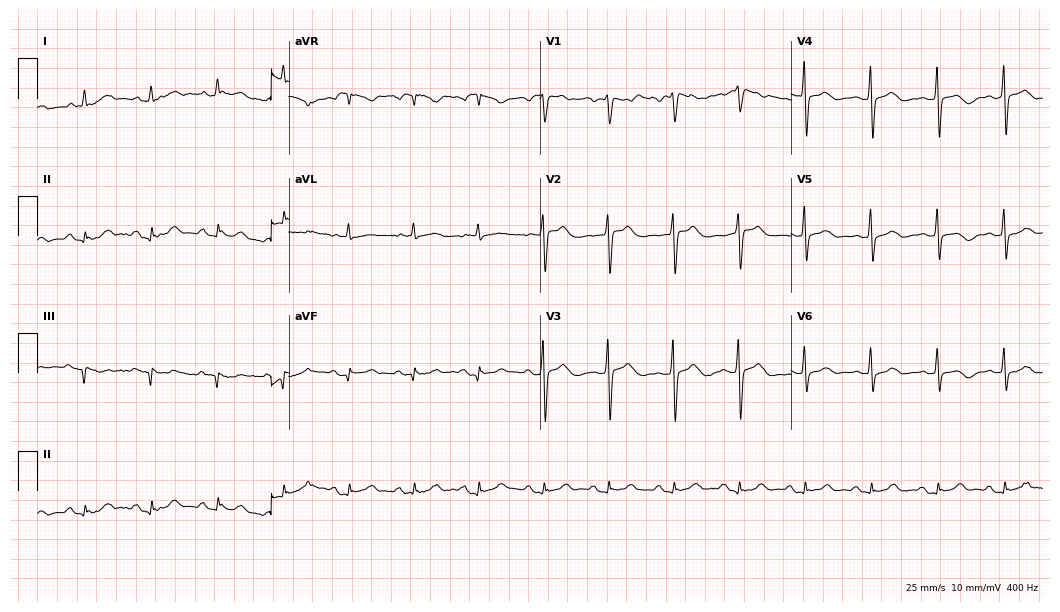
Standard 12-lead ECG recorded from a male, 64 years old (10.2-second recording at 400 Hz). None of these six findings is recorded: first-degree AV block, right bundle branch block (RBBB), left bundle branch block (LBBB), sinus bradycardia, atrial fibrillation (AF), sinus tachycardia. Other findings, if any, are not listed.